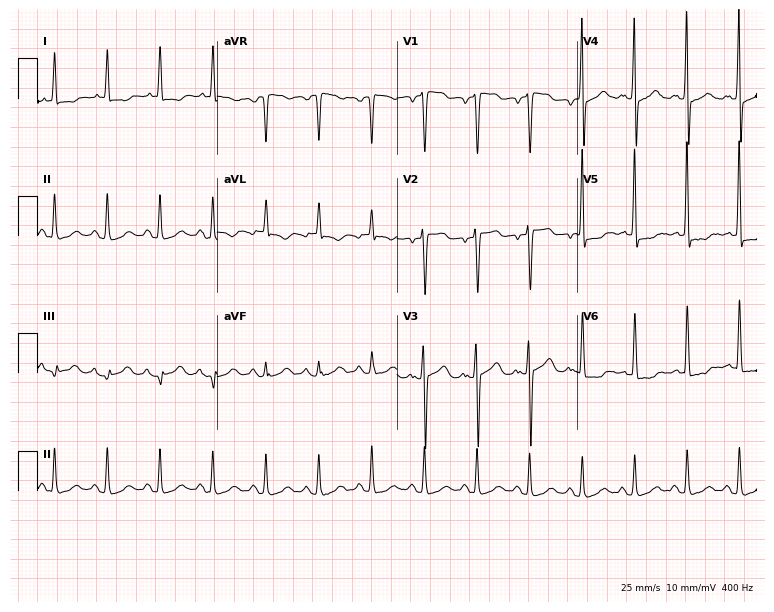
ECG — a 64-year-old female. Findings include sinus tachycardia (a sinus rate of 100 beats per minute or more).